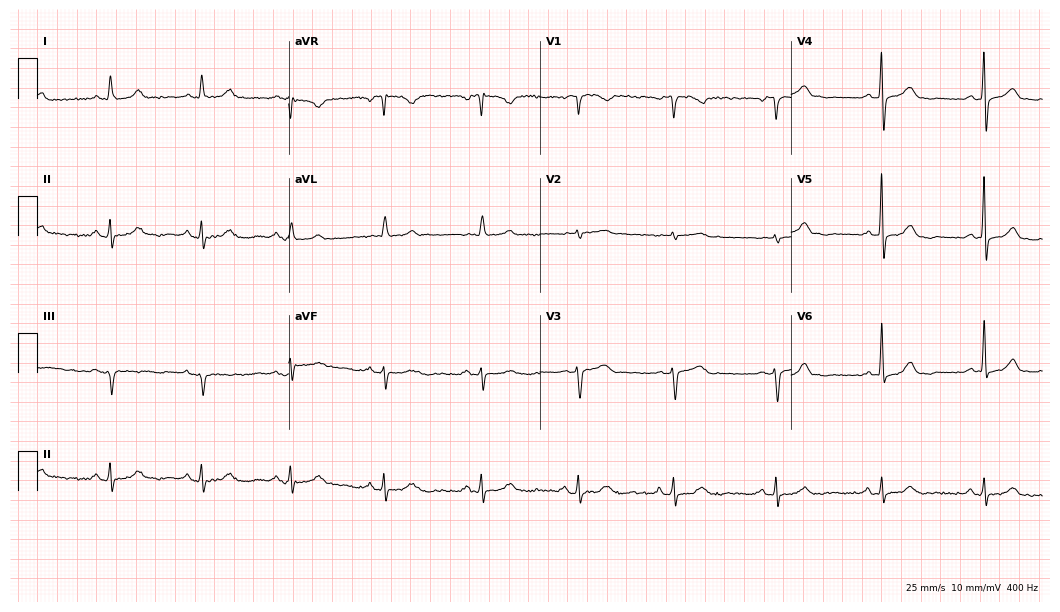
12-lead ECG from a female, 57 years old. Recorded interpretation: within normal limits.